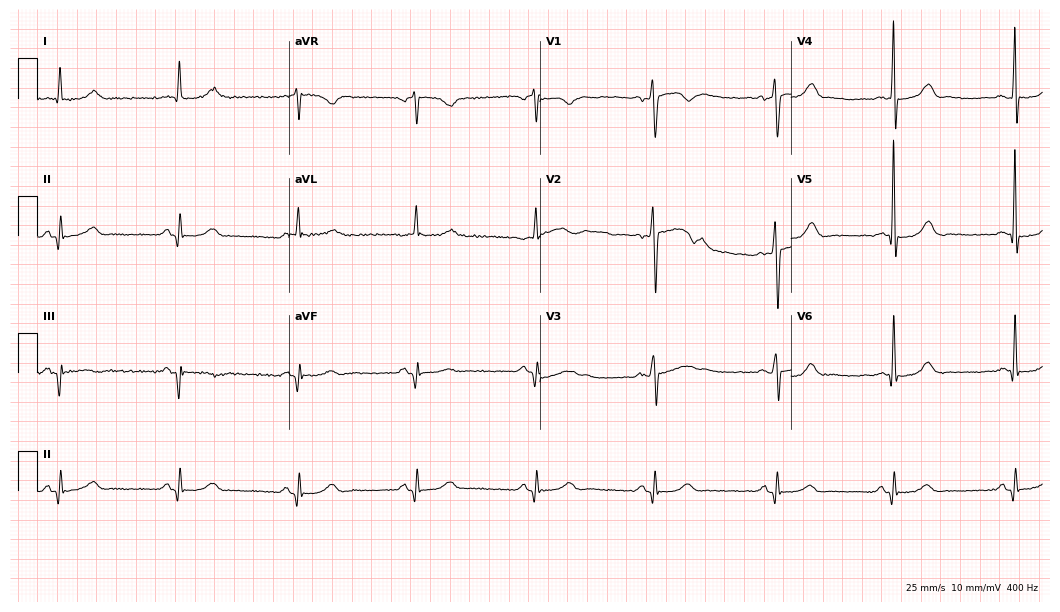
Electrocardiogram, a 50-year-old male patient. Of the six screened findings (first-degree AV block, right bundle branch block, left bundle branch block, sinus bradycardia, atrial fibrillation, sinus tachycardia), none is recorded.